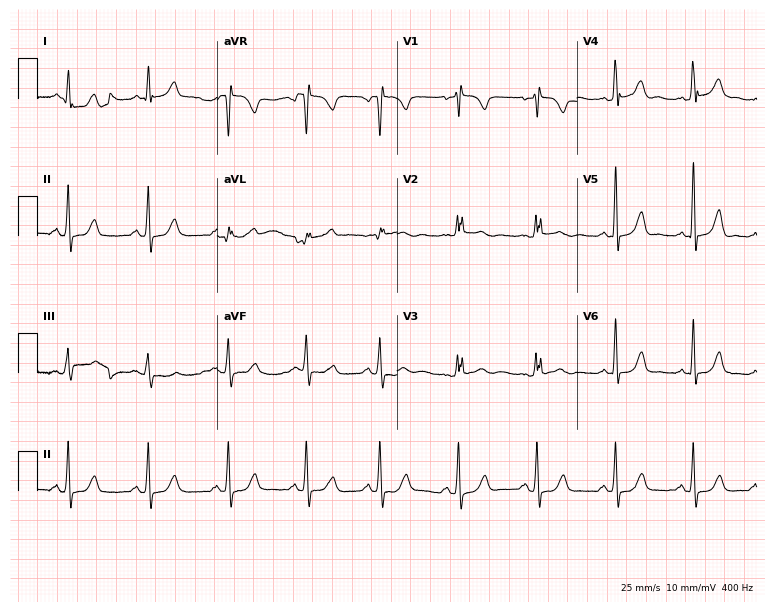
12-lead ECG from a 54-year-old female. No first-degree AV block, right bundle branch block, left bundle branch block, sinus bradycardia, atrial fibrillation or sinus tachycardia recorded for this tracing. Only these six findings were labelled.